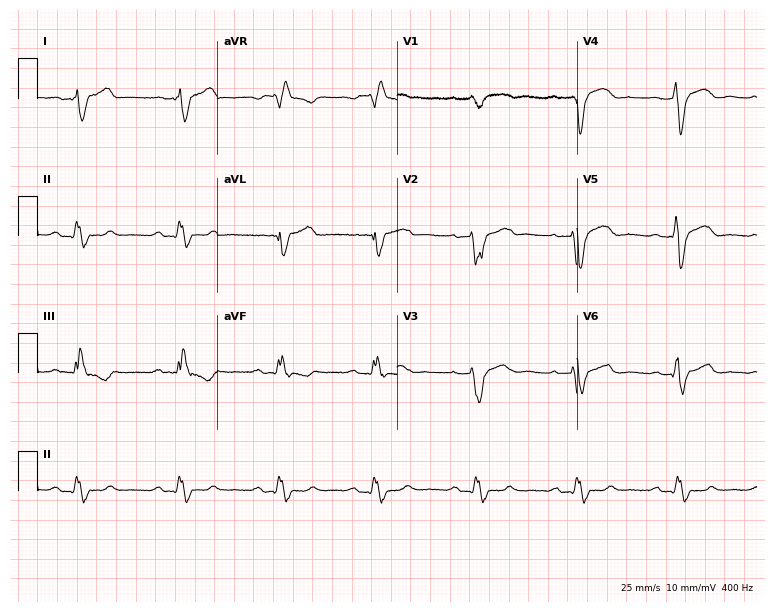
Electrocardiogram (7.3-second recording at 400 Hz), a 52-year-old woman. Interpretation includes right bundle branch block (RBBB).